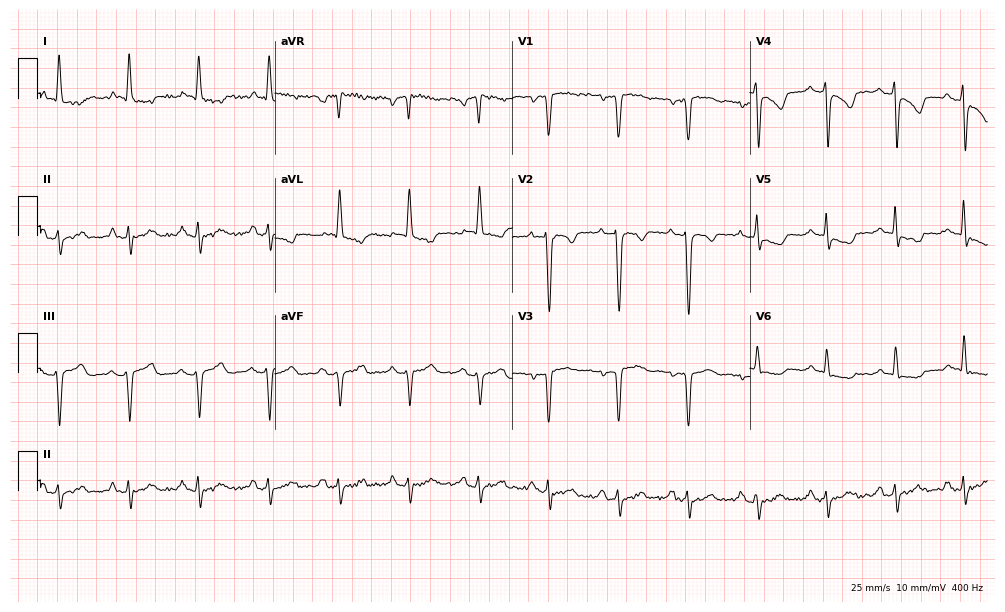
12-lead ECG from a 60-year-old male (9.7-second recording at 400 Hz). No first-degree AV block, right bundle branch block (RBBB), left bundle branch block (LBBB), sinus bradycardia, atrial fibrillation (AF) or sinus tachycardia recorded for this tracing.